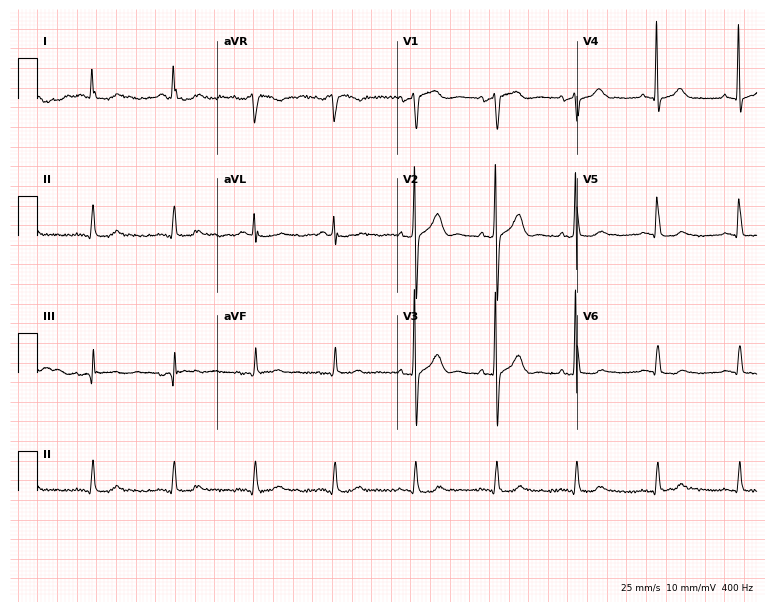
Electrocardiogram, a man, 69 years old. Of the six screened findings (first-degree AV block, right bundle branch block, left bundle branch block, sinus bradycardia, atrial fibrillation, sinus tachycardia), none is recorded.